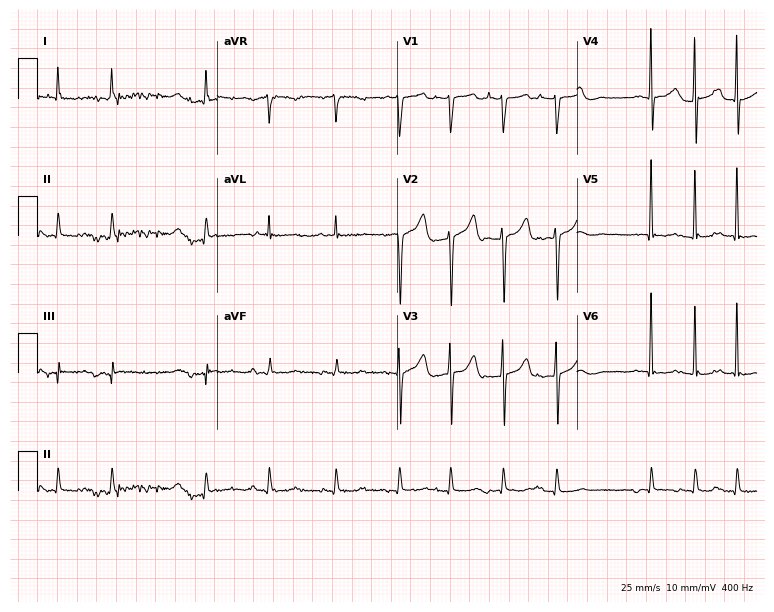
Electrocardiogram, an 81-year-old male. Of the six screened findings (first-degree AV block, right bundle branch block, left bundle branch block, sinus bradycardia, atrial fibrillation, sinus tachycardia), none is recorded.